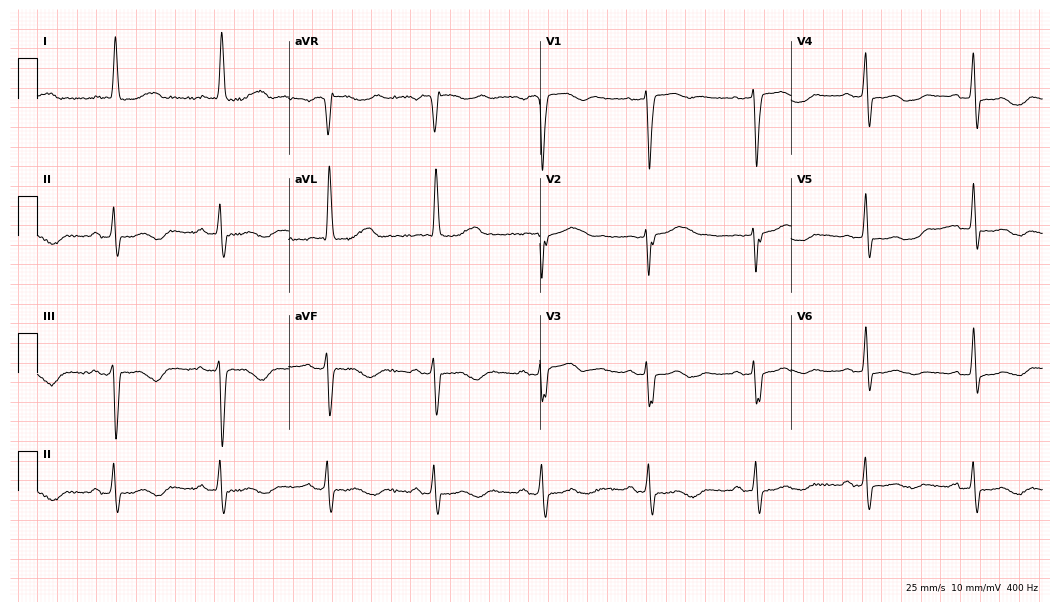
12-lead ECG from an 83-year-old female patient. No first-degree AV block, right bundle branch block (RBBB), left bundle branch block (LBBB), sinus bradycardia, atrial fibrillation (AF) or sinus tachycardia recorded for this tracing. Findings outside these six are not listed.